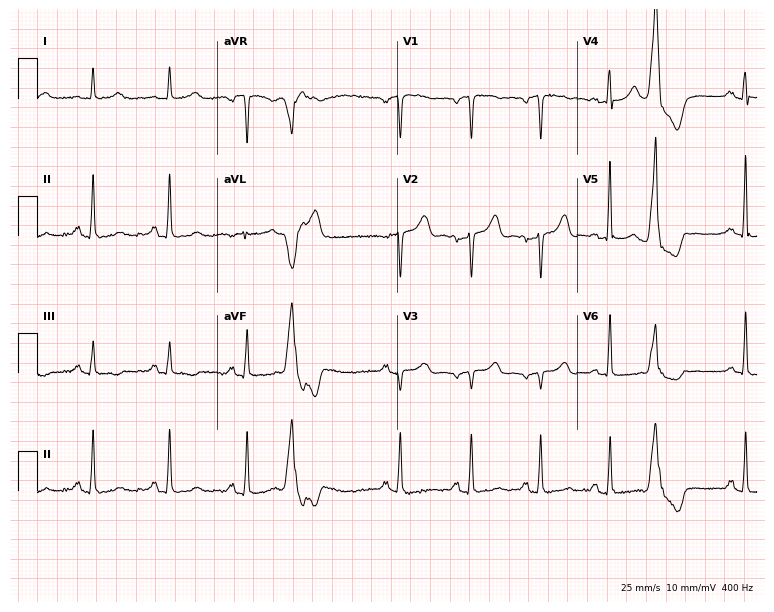
ECG — a 52-year-old woman. Screened for six findings — first-degree AV block, right bundle branch block, left bundle branch block, sinus bradycardia, atrial fibrillation, sinus tachycardia — none is recorded. Findings outside these six are not listed.